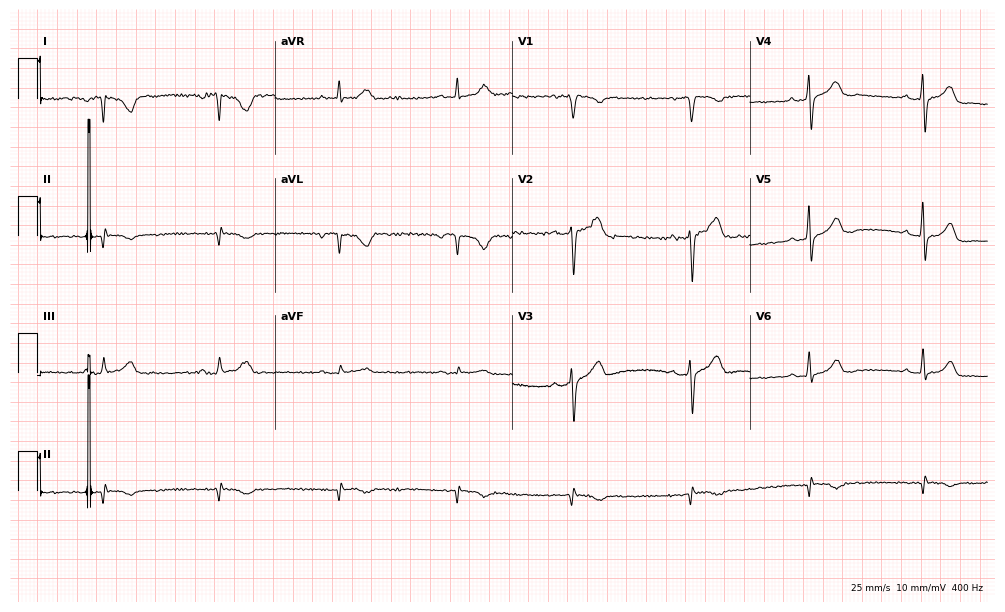
ECG — a 35-year-old man. Screened for six findings — first-degree AV block, right bundle branch block, left bundle branch block, sinus bradycardia, atrial fibrillation, sinus tachycardia — none is recorded. Other findings, if any, are not listed.